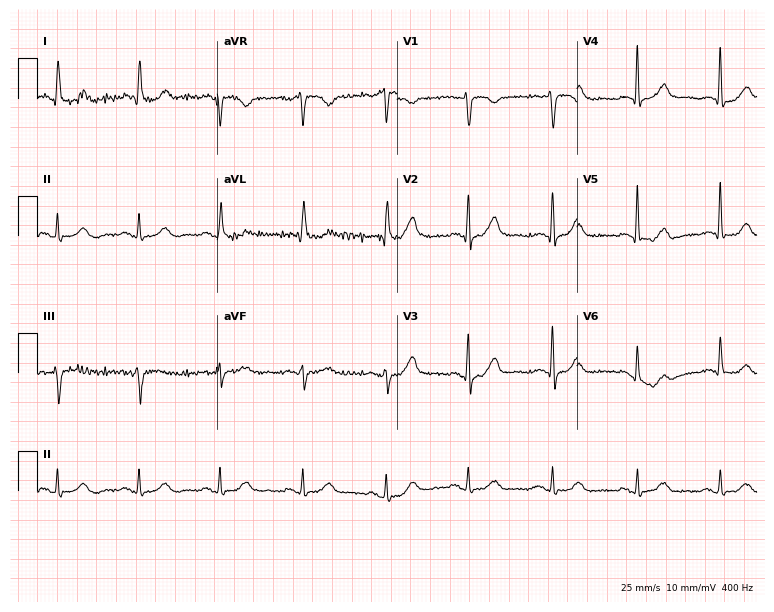
ECG — a female patient, 65 years old. Labelled as a normal ECG.